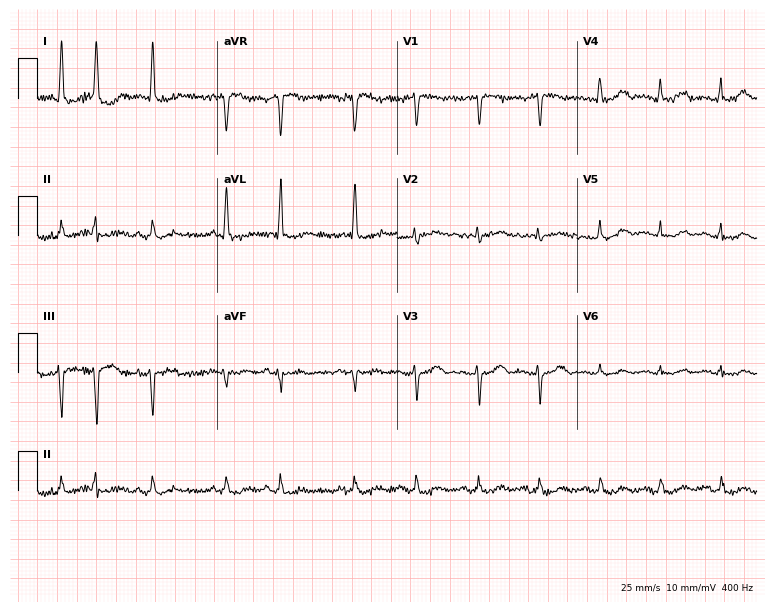
Electrocardiogram, a 79-year-old woman. Of the six screened findings (first-degree AV block, right bundle branch block (RBBB), left bundle branch block (LBBB), sinus bradycardia, atrial fibrillation (AF), sinus tachycardia), none is recorded.